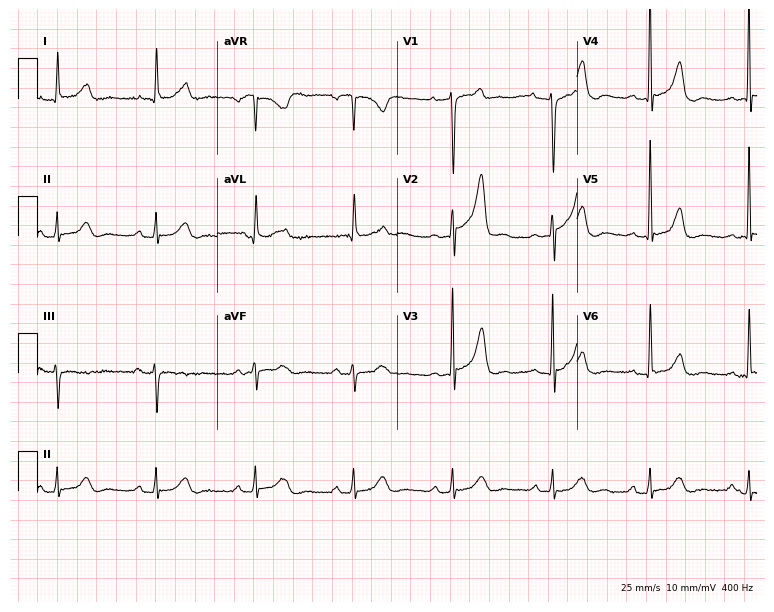
12-lead ECG (7.3-second recording at 400 Hz) from a man, 66 years old. Screened for six findings — first-degree AV block, right bundle branch block, left bundle branch block, sinus bradycardia, atrial fibrillation, sinus tachycardia — none is recorded.